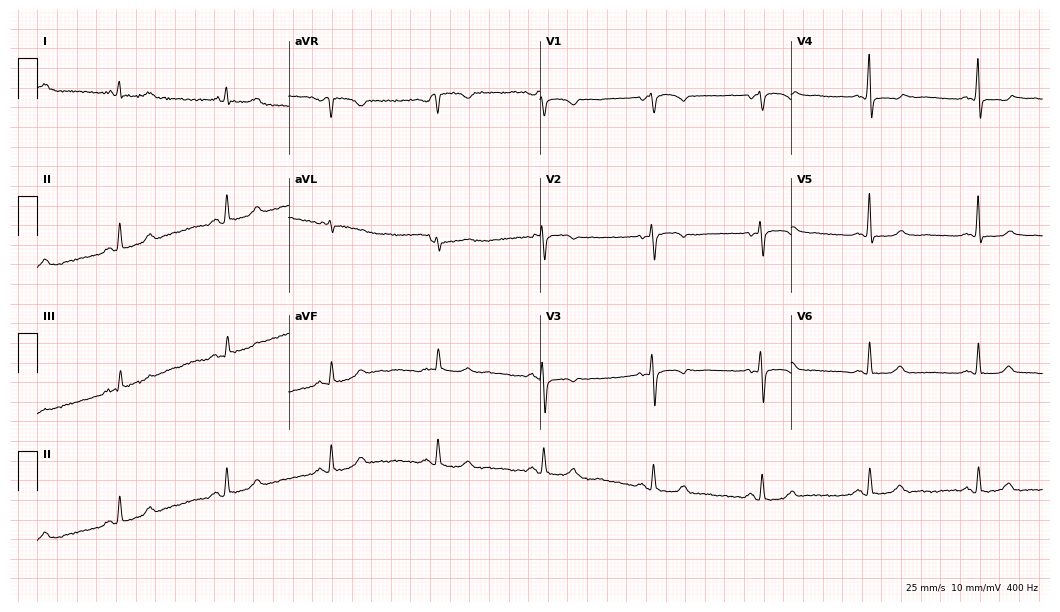
ECG — a 29-year-old woman. Screened for six findings — first-degree AV block, right bundle branch block, left bundle branch block, sinus bradycardia, atrial fibrillation, sinus tachycardia — none is recorded.